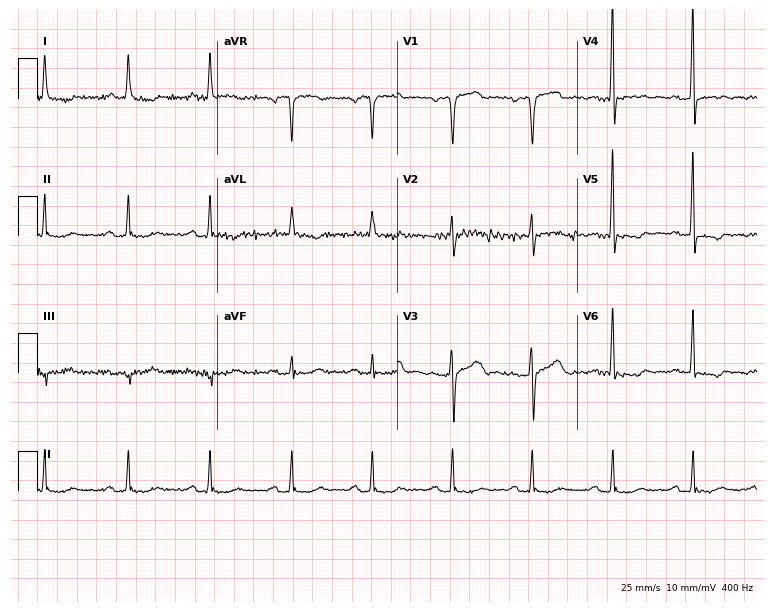
12-lead ECG from a female patient, 72 years old (7.3-second recording at 400 Hz). No first-degree AV block, right bundle branch block, left bundle branch block, sinus bradycardia, atrial fibrillation or sinus tachycardia recorded for this tracing. Other findings, if any, are not listed.